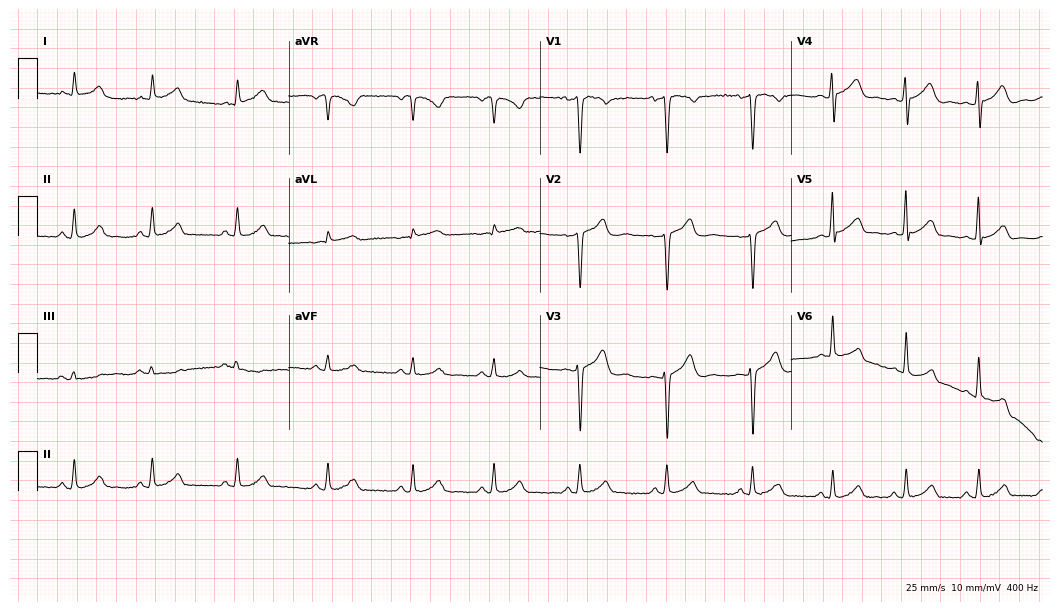
Electrocardiogram (10.2-second recording at 400 Hz), a 21-year-old male. Of the six screened findings (first-degree AV block, right bundle branch block (RBBB), left bundle branch block (LBBB), sinus bradycardia, atrial fibrillation (AF), sinus tachycardia), none is recorded.